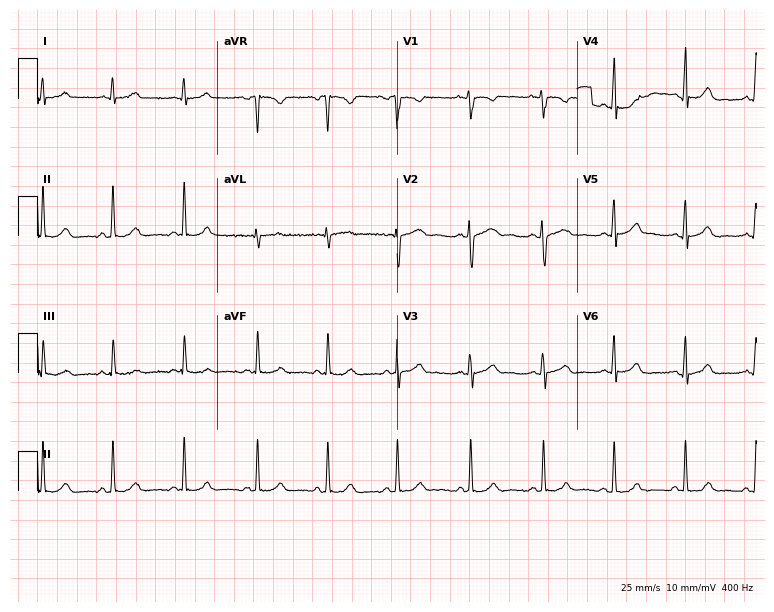
ECG (7.3-second recording at 400 Hz) — a woman, 23 years old. Labelled as a normal ECG.